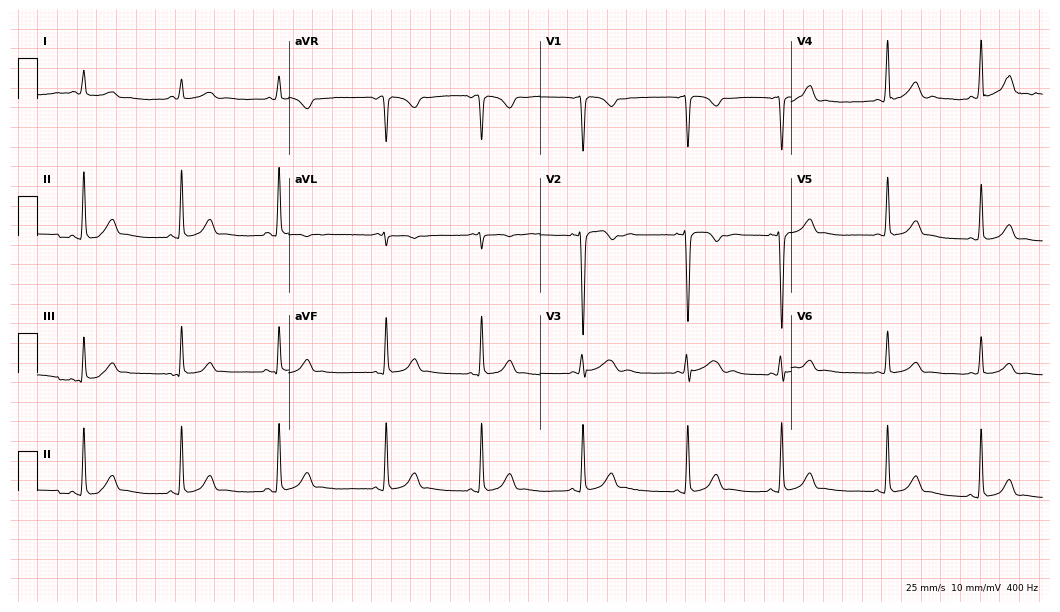
ECG — a female, 17 years old. Screened for six findings — first-degree AV block, right bundle branch block, left bundle branch block, sinus bradycardia, atrial fibrillation, sinus tachycardia — none is recorded.